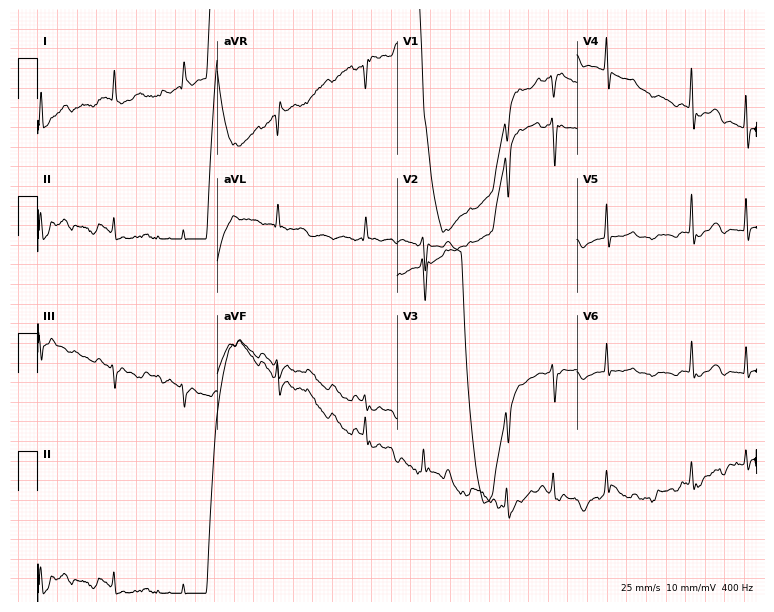
Electrocardiogram, a woman, 78 years old. Of the six screened findings (first-degree AV block, right bundle branch block, left bundle branch block, sinus bradycardia, atrial fibrillation, sinus tachycardia), none is recorded. Only these six findings were labelled.